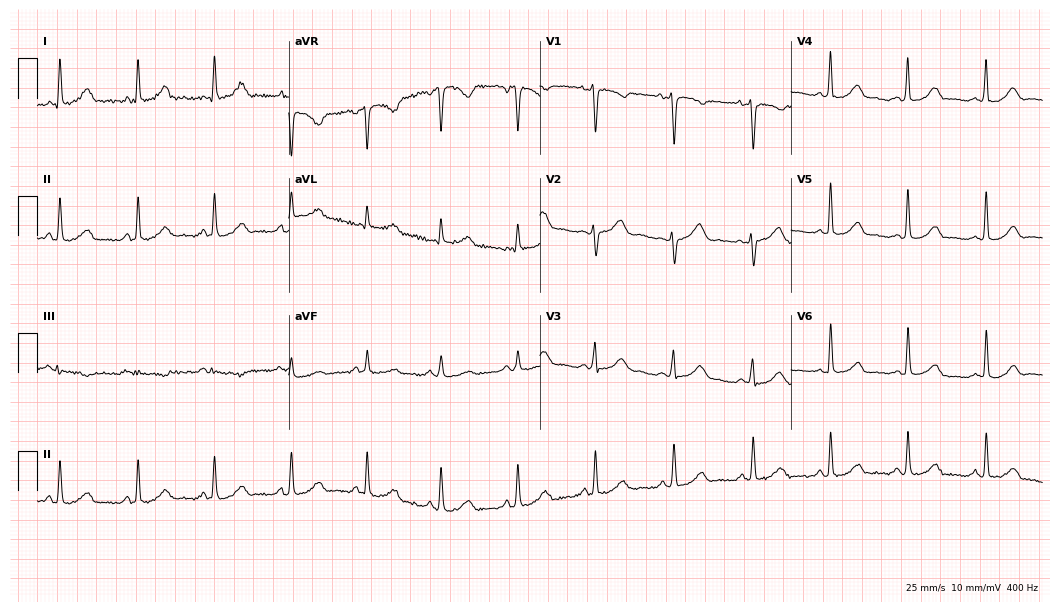
Resting 12-lead electrocardiogram. Patient: a female, 37 years old. Read as a normal ECG.